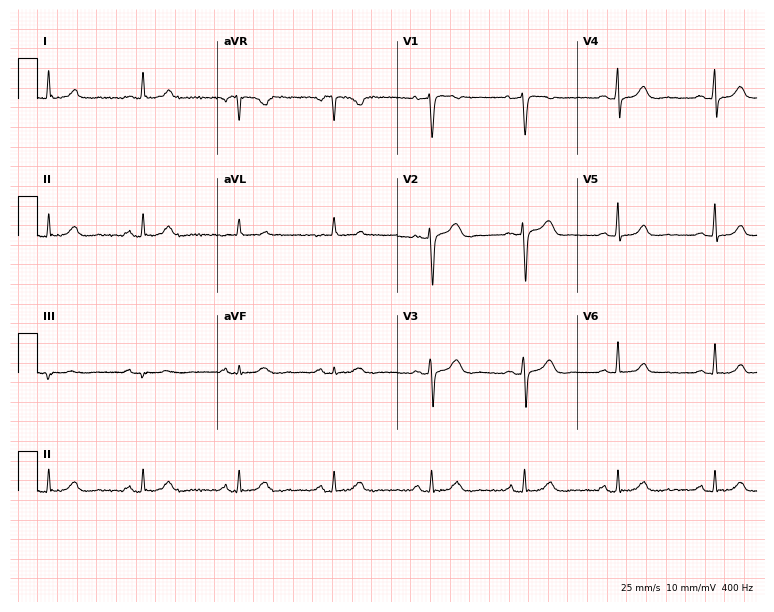
Electrocardiogram (7.3-second recording at 400 Hz), a woman, 53 years old. Overall reading on record: normal ECG.